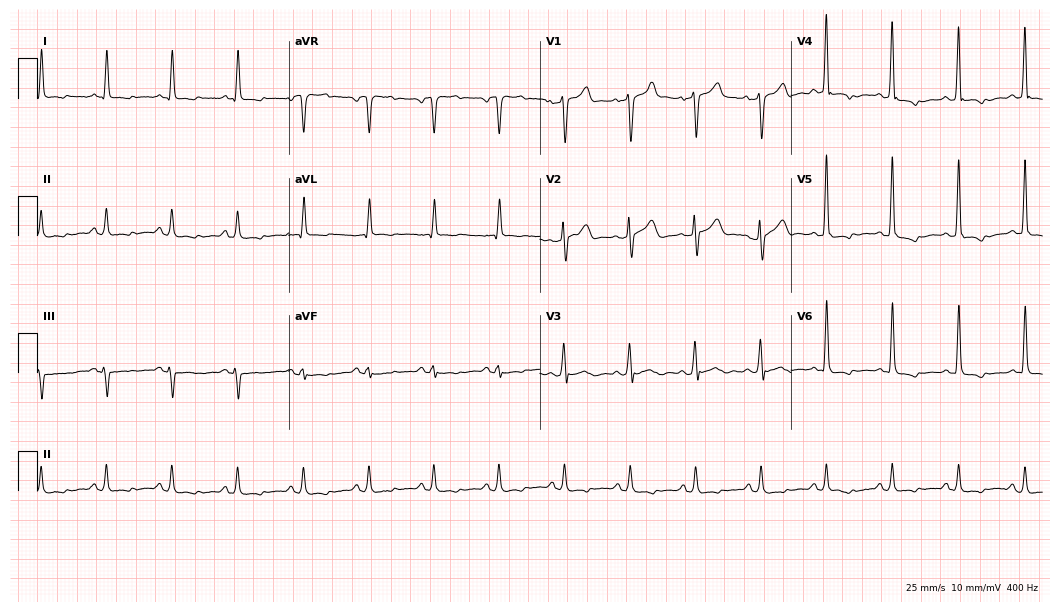
ECG — a 63-year-old male patient. Screened for six findings — first-degree AV block, right bundle branch block (RBBB), left bundle branch block (LBBB), sinus bradycardia, atrial fibrillation (AF), sinus tachycardia — none is recorded. Findings outside these six are not listed.